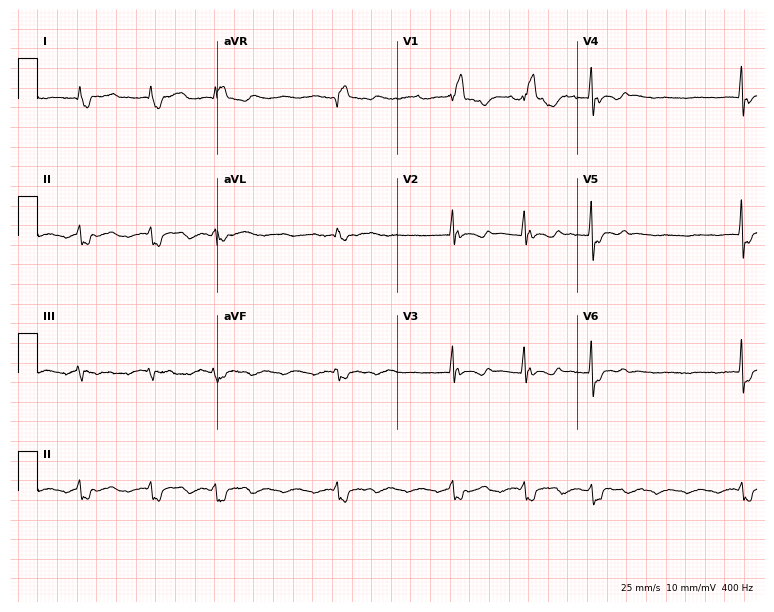
12-lead ECG (7.3-second recording at 400 Hz) from a female patient, 67 years old. Findings include right bundle branch block (RBBB), atrial fibrillation (AF).